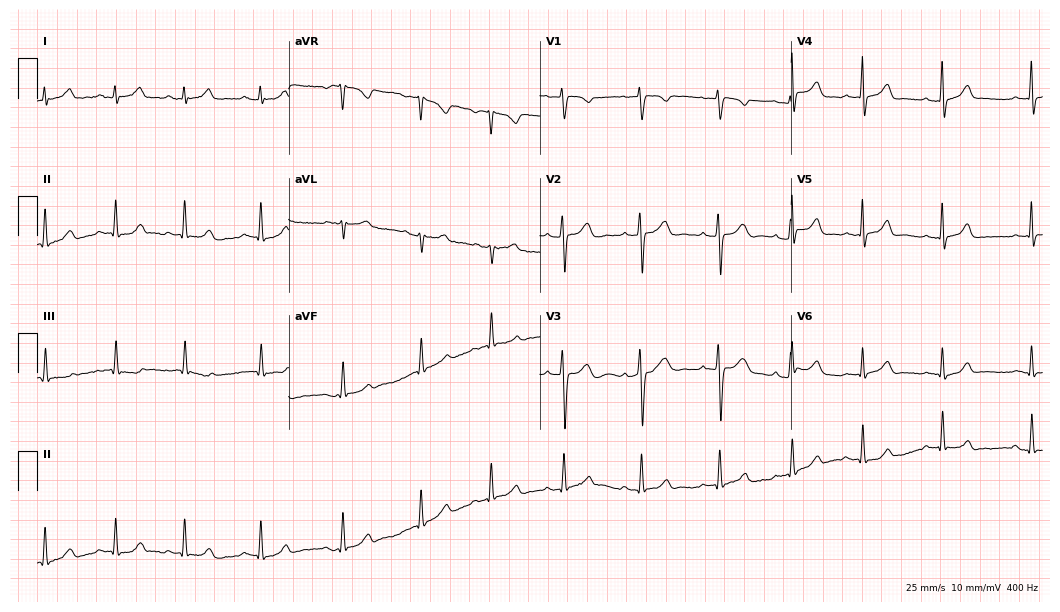
12-lead ECG (10.2-second recording at 400 Hz) from a female, 24 years old. Screened for six findings — first-degree AV block, right bundle branch block, left bundle branch block, sinus bradycardia, atrial fibrillation, sinus tachycardia — none is recorded.